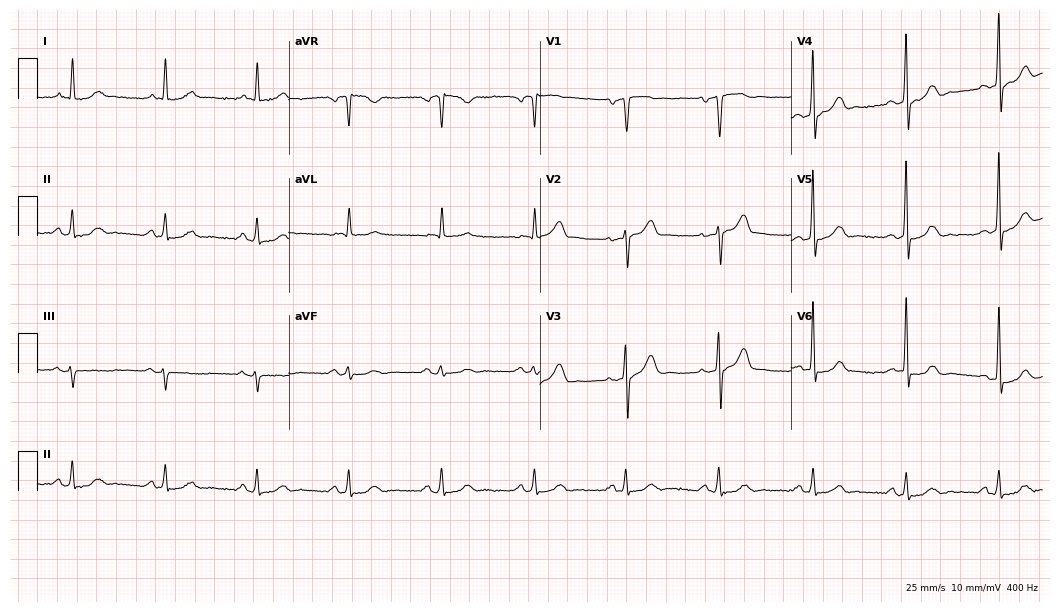
Electrocardiogram, a female, 69 years old. Overall reading on record: normal ECG.